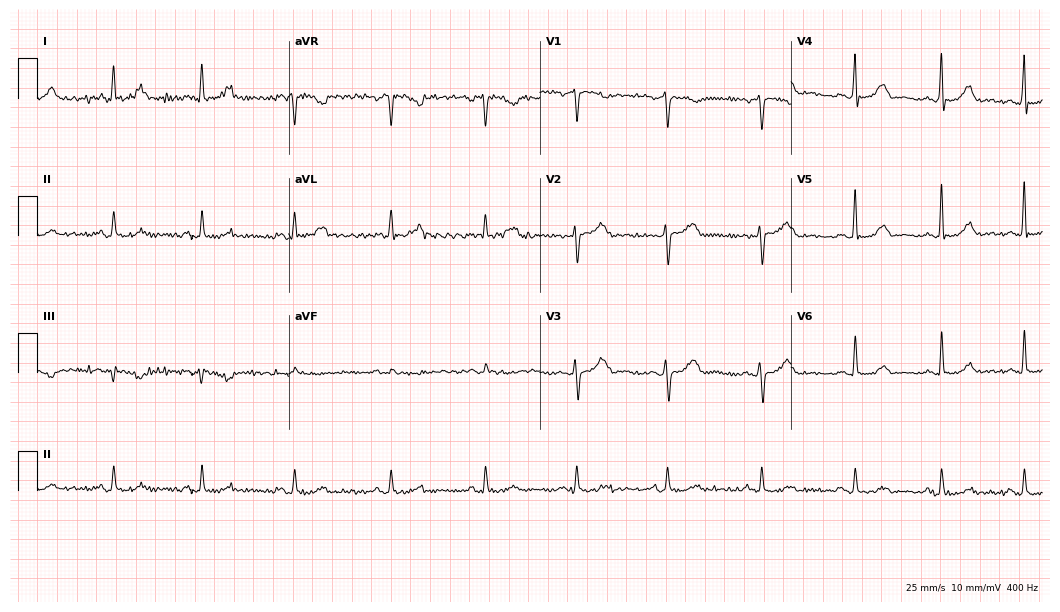
ECG — a woman, 49 years old. Labelled as a normal ECG.